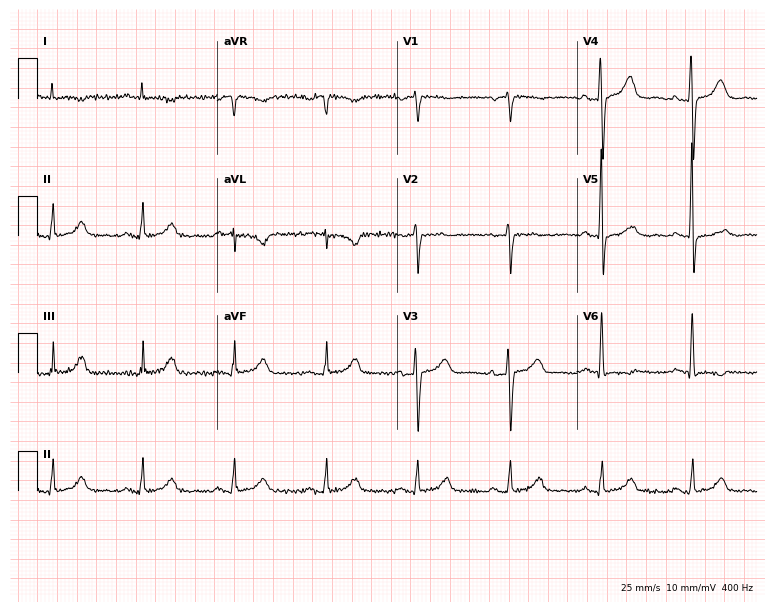
12-lead ECG from a woman, 79 years old. Labelled as a normal ECG.